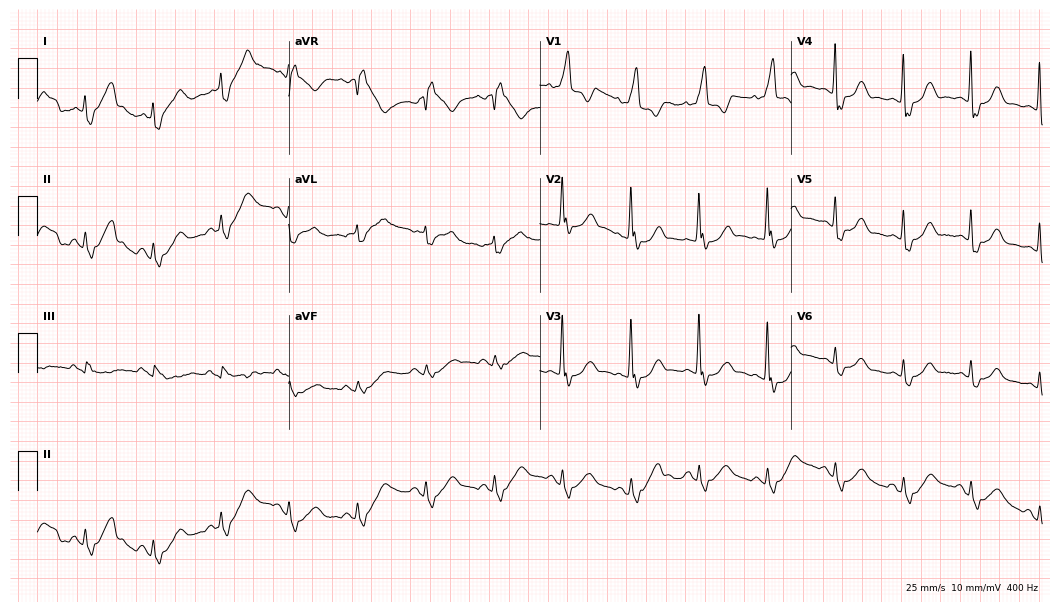
ECG (10.2-second recording at 400 Hz) — a 71-year-old woman. Findings include right bundle branch block (RBBB).